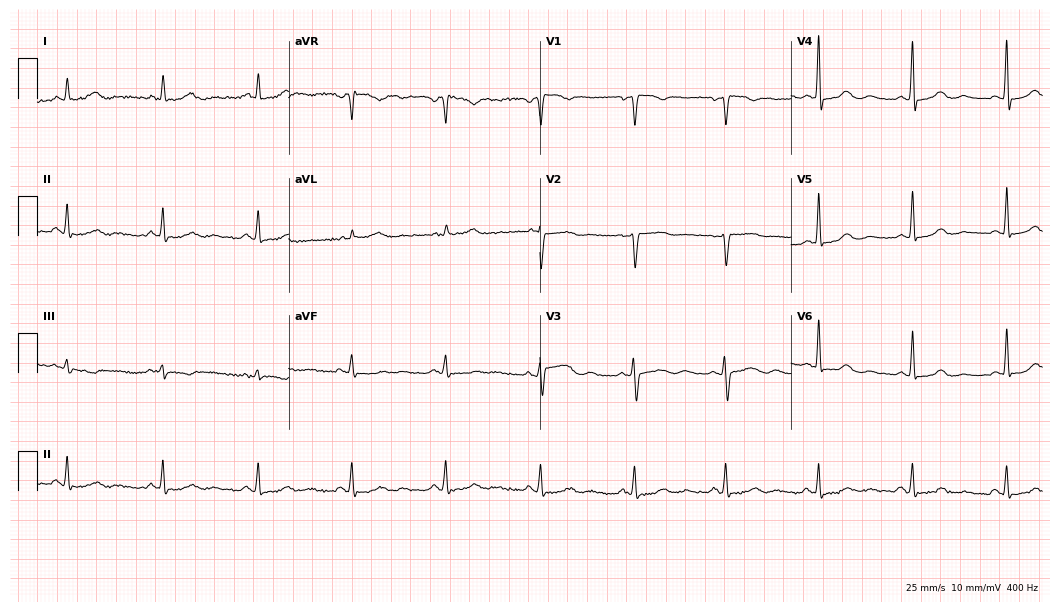
ECG — a female, 49 years old. Labelled as a normal ECG.